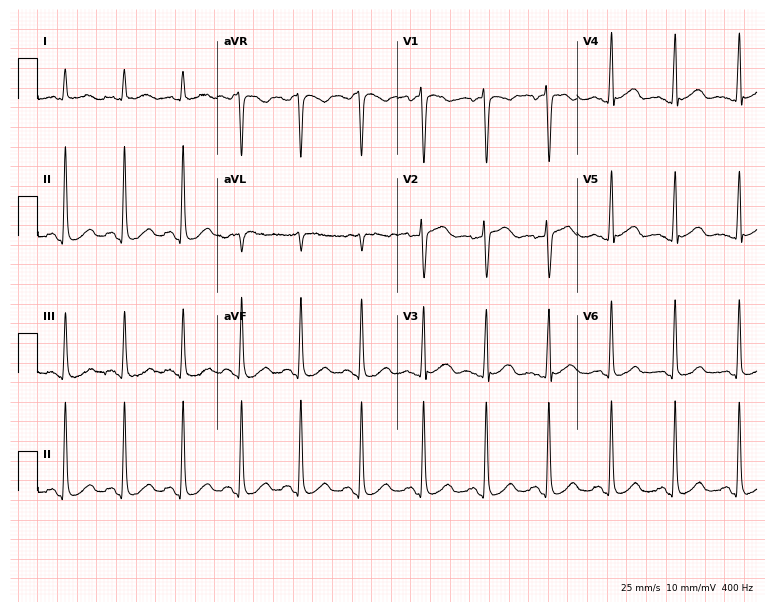
12-lead ECG from a 45-year-old male patient. Labelled as a normal ECG.